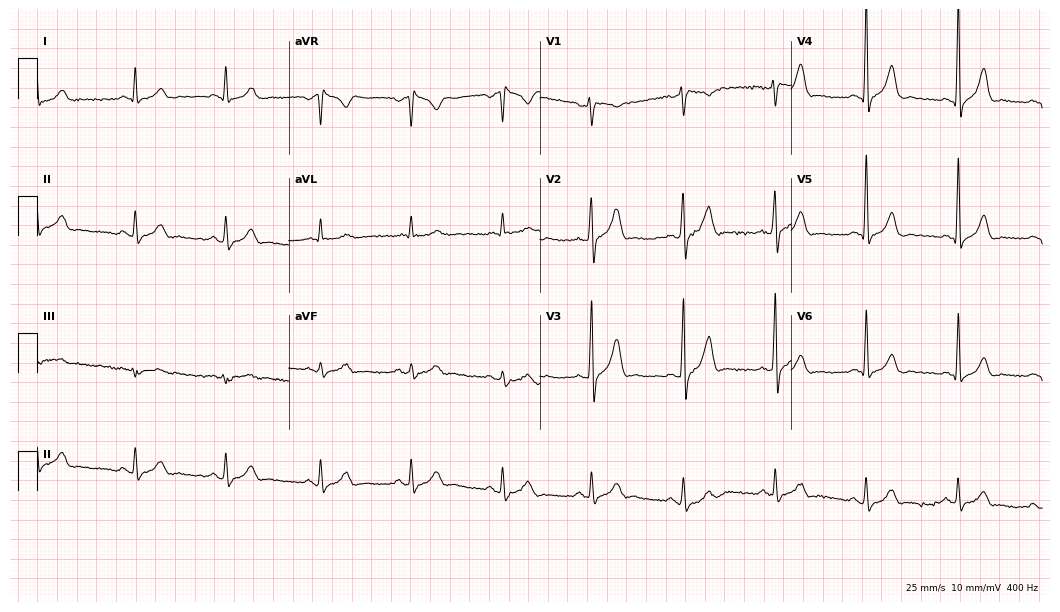
Resting 12-lead electrocardiogram. Patient: a man, 41 years old. None of these six findings is recorded: first-degree AV block, right bundle branch block, left bundle branch block, sinus bradycardia, atrial fibrillation, sinus tachycardia.